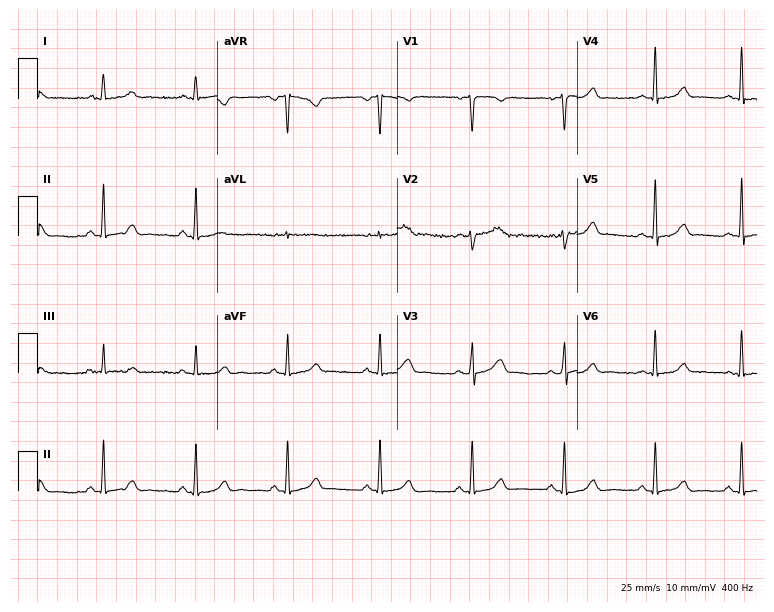
Standard 12-lead ECG recorded from a 37-year-old female patient (7.3-second recording at 400 Hz). Read as a normal ECG.